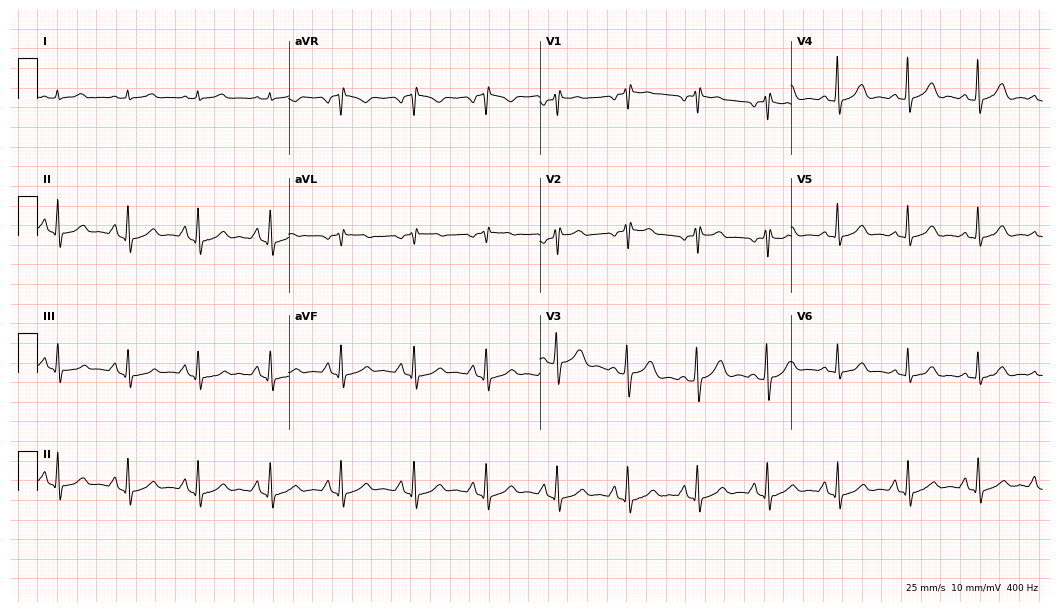
Electrocardiogram (10.2-second recording at 400 Hz), a woman, 68 years old. Of the six screened findings (first-degree AV block, right bundle branch block (RBBB), left bundle branch block (LBBB), sinus bradycardia, atrial fibrillation (AF), sinus tachycardia), none is recorded.